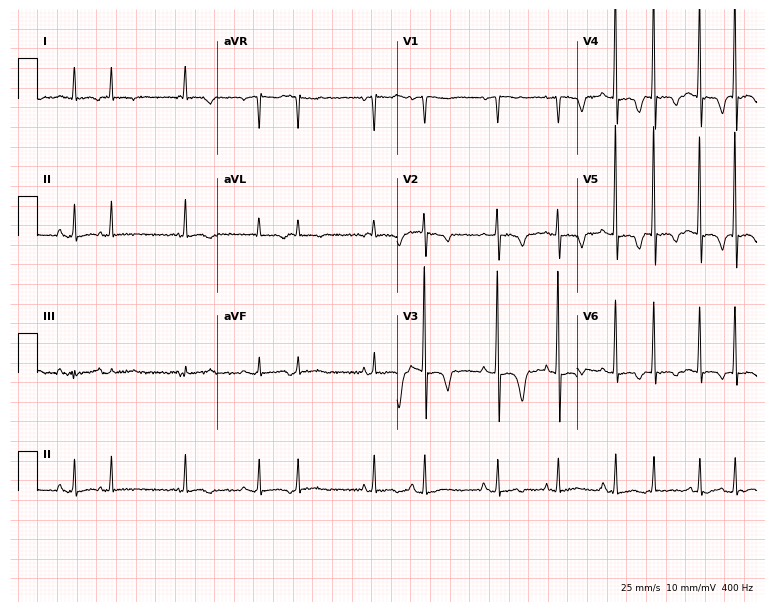
Standard 12-lead ECG recorded from a 72-year-old female (7.3-second recording at 400 Hz). None of these six findings is recorded: first-degree AV block, right bundle branch block, left bundle branch block, sinus bradycardia, atrial fibrillation, sinus tachycardia.